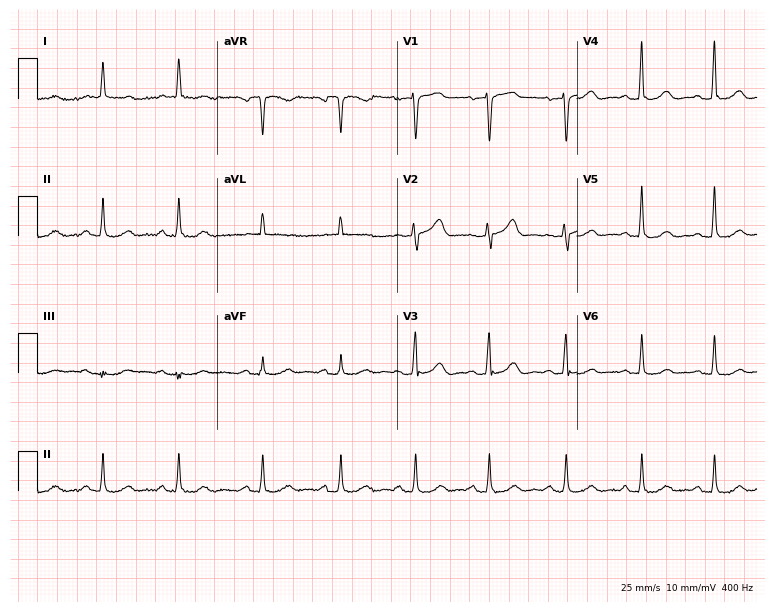
Electrocardiogram (7.3-second recording at 400 Hz), a 60-year-old male. Overall reading on record: normal ECG.